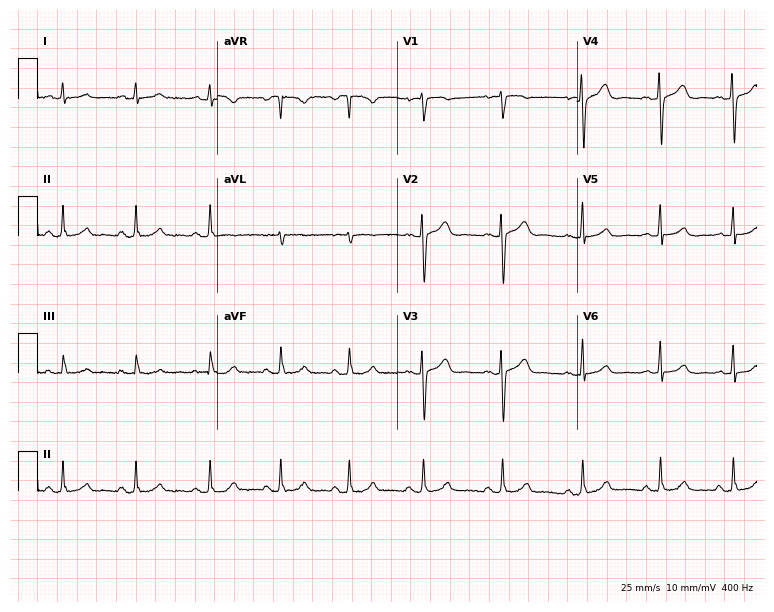
12-lead ECG from a 28-year-old female patient. Screened for six findings — first-degree AV block, right bundle branch block, left bundle branch block, sinus bradycardia, atrial fibrillation, sinus tachycardia — none is recorded. Other findings, if any, are not listed.